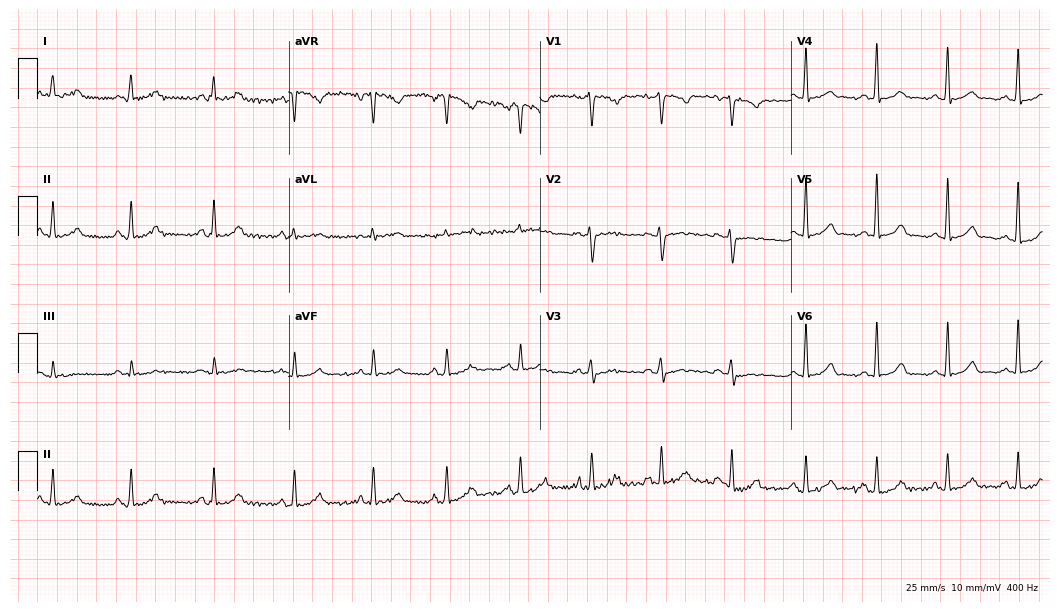
Standard 12-lead ECG recorded from a 31-year-old female patient. Read as a normal ECG.